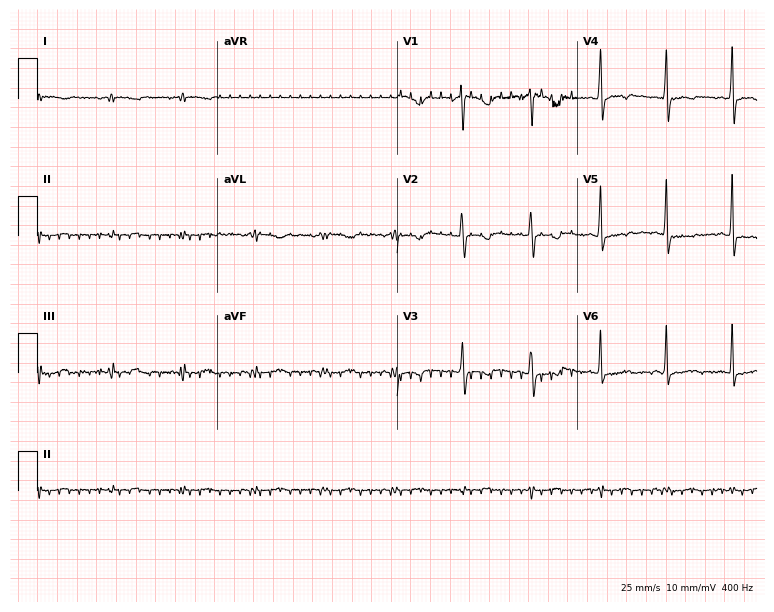
12-lead ECG from a female patient, 43 years old (7.3-second recording at 400 Hz). No first-degree AV block, right bundle branch block (RBBB), left bundle branch block (LBBB), sinus bradycardia, atrial fibrillation (AF) or sinus tachycardia recorded for this tracing. Findings outside these six are not listed.